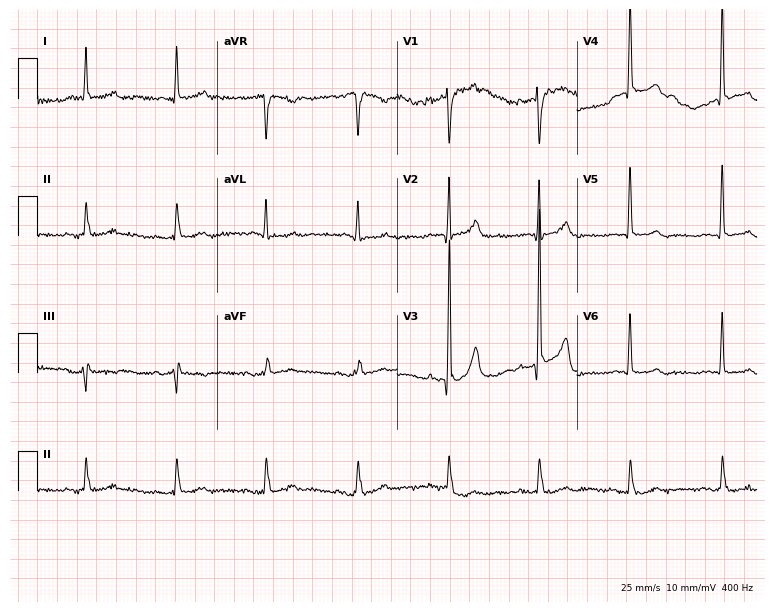
Resting 12-lead electrocardiogram (7.3-second recording at 400 Hz). Patient: an 80-year-old man. None of these six findings is recorded: first-degree AV block, right bundle branch block (RBBB), left bundle branch block (LBBB), sinus bradycardia, atrial fibrillation (AF), sinus tachycardia. Findings outside these six are not listed.